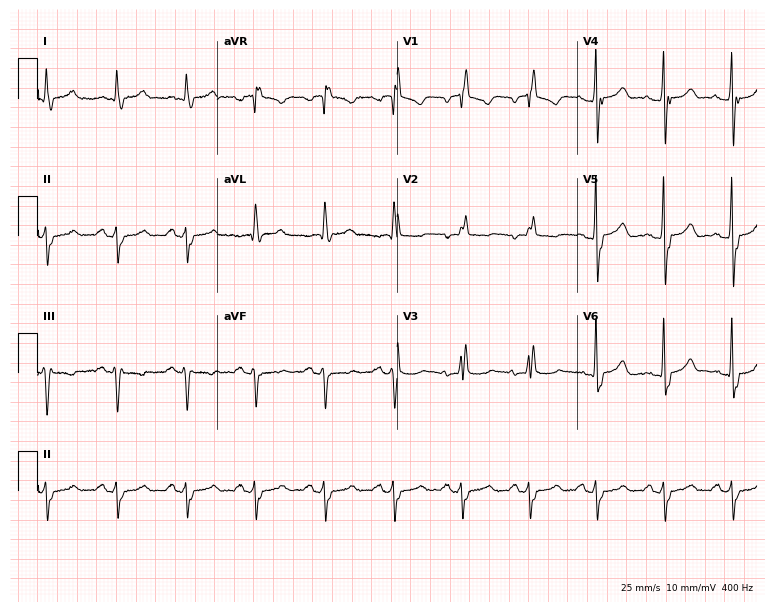
Standard 12-lead ECG recorded from a man, 70 years old. None of these six findings is recorded: first-degree AV block, right bundle branch block, left bundle branch block, sinus bradycardia, atrial fibrillation, sinus tachycardia. Other findings, if any, are not listed.